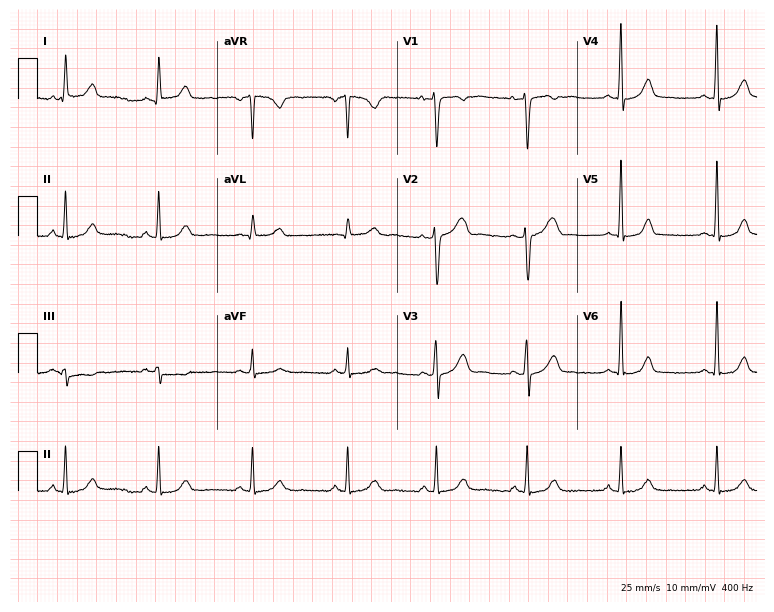
Electrocardiogram, a 30-year-old female. Of the six screened findings (first-degree AV block, right bundle branch block, left bundle branch block, sinus bradycardia, atrial fibrillation, sinus tachycardia), none is recorded. Only these six findings were labelled.